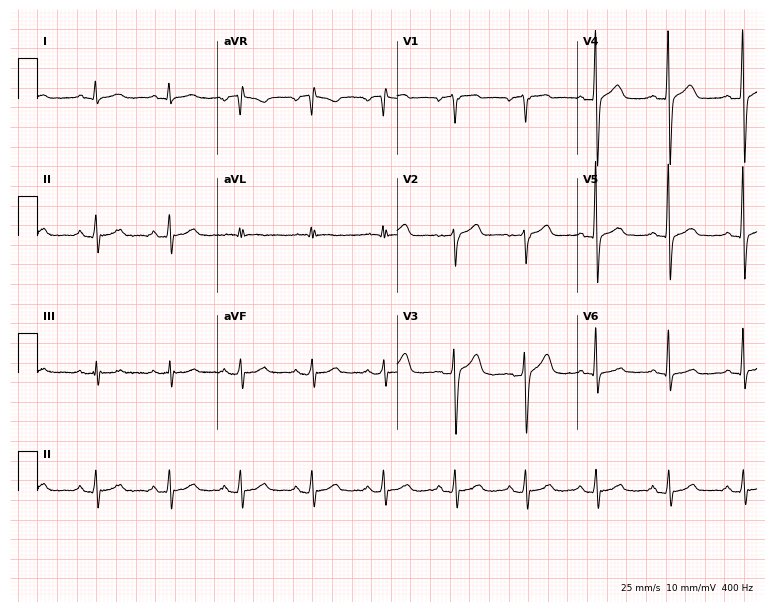
ECG (7.3-second recording at 400 Hz) — a 58-year-old male patient. Labelled as a normal ECG.